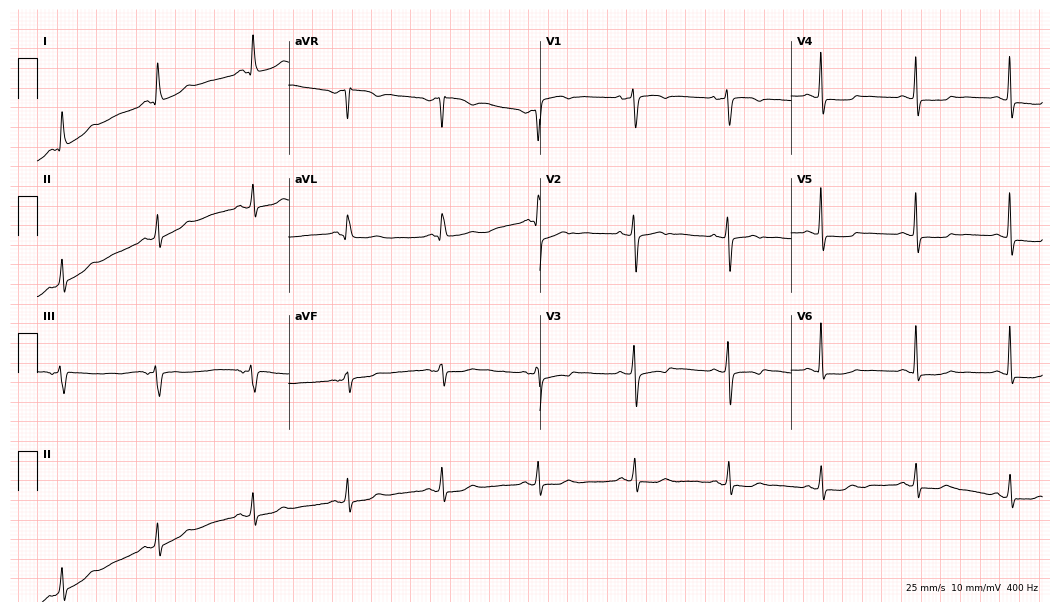
Resting 12-lead electrocardiogram (10.2-second recording at 400 Hz). Patient: a female, 55 years old. None of these six findings is recorded: first-degree AV block, right bundle branch block, left bundle branch block, sinus bradycardia, atrial fibrillation, sinus tachycardia.